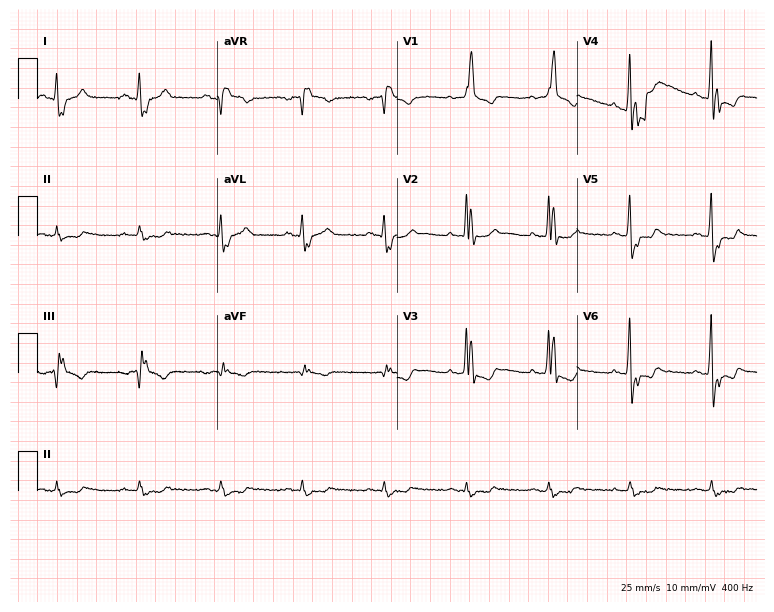
Electrocardiogram, a male, 75 years old. Interpretation includes right bundle branch block (RBBB).